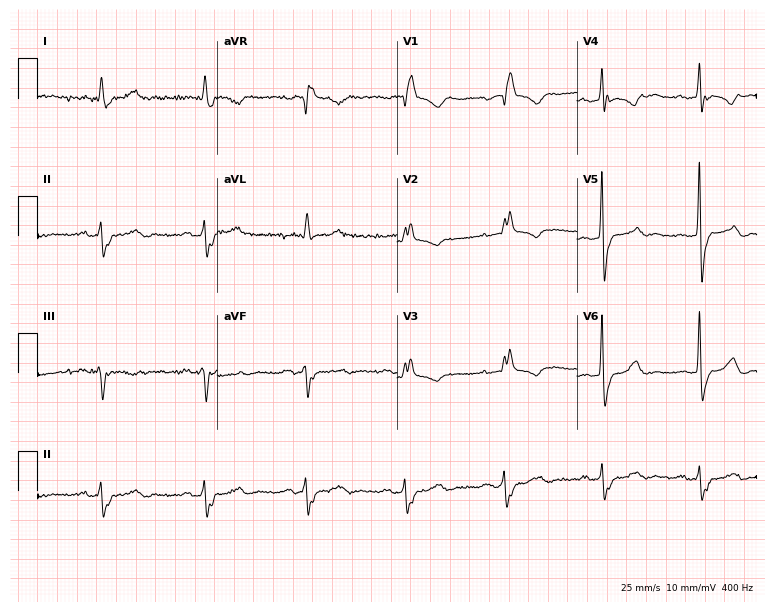
12-lead ECG (7.3-second recording at 400 Hz) from a 63-year-old female. Findings include right bundle branch block.